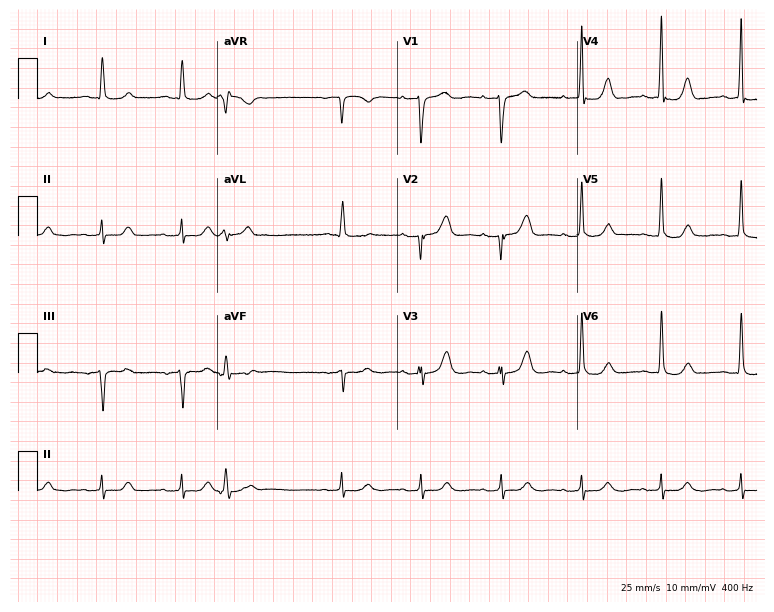
12-lead ECG from an 84-year-old female (7.3-second recording at 400 Hz). Recorded interpretation: within normal limits.